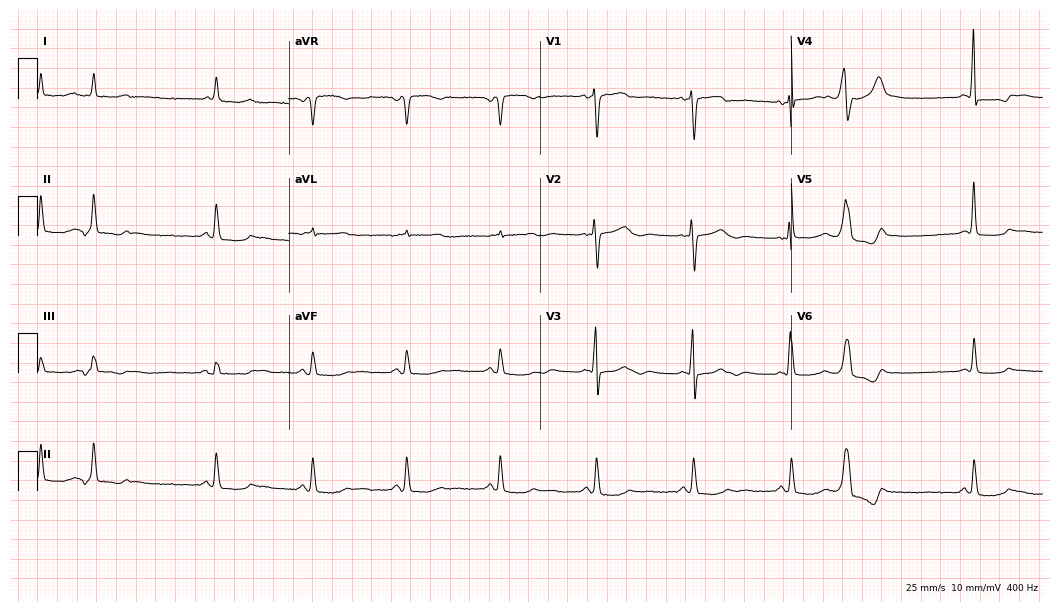
12-lead ECG from a woman, 81 years old. Screened for six findings — first-degree AV block, right bundle branch block (RBBB), left bundle branch block (LBBB), sinus bradycardia, atrial fibrillation (AF), sinus tachycardia — none is recorded.